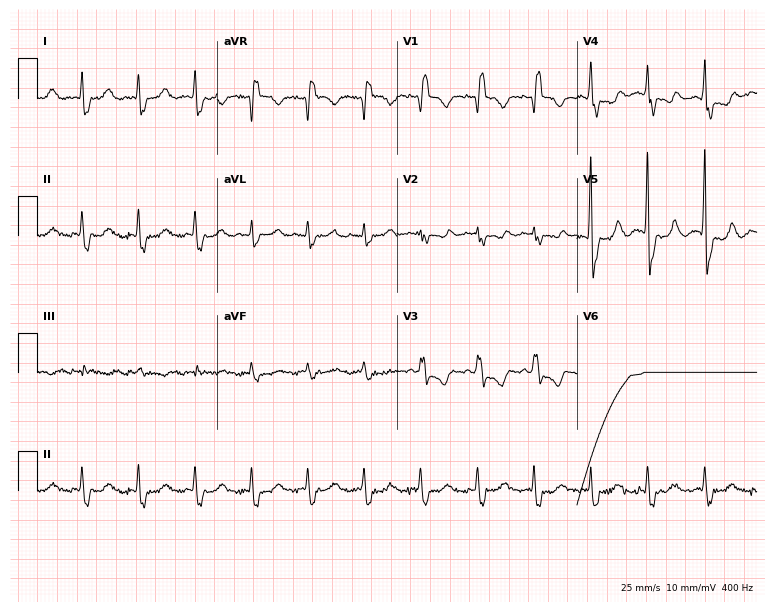
12-lead ECG from an 84-year-old woman. Shows right bundle branch block.